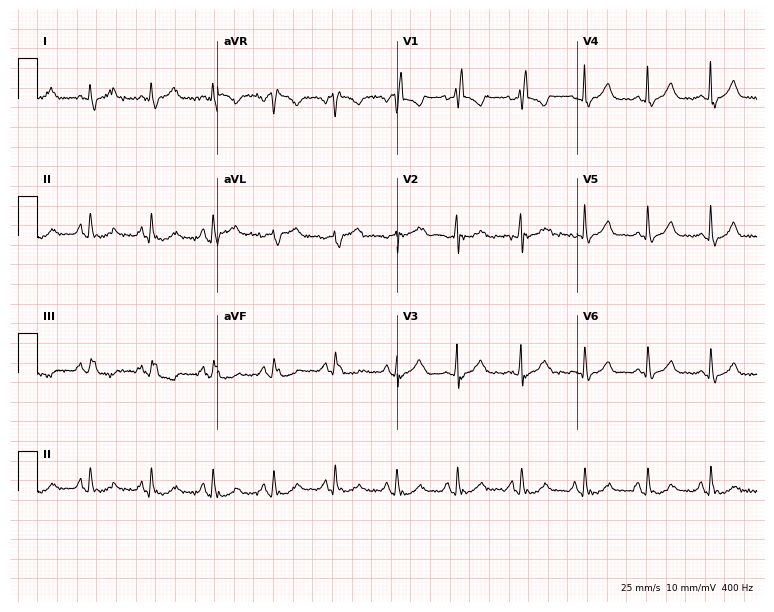
Standard 12-lead ECG recorded from a 60-year-old female patient (7.3-second recording at 400 Hz). None of these six findings is recorded: first-degree AV block, right bundle branch block (RBBB), left bundle branch block (LBBB), sinus bradycardia, atrial fibrillation (AF), sinus tachycardia.